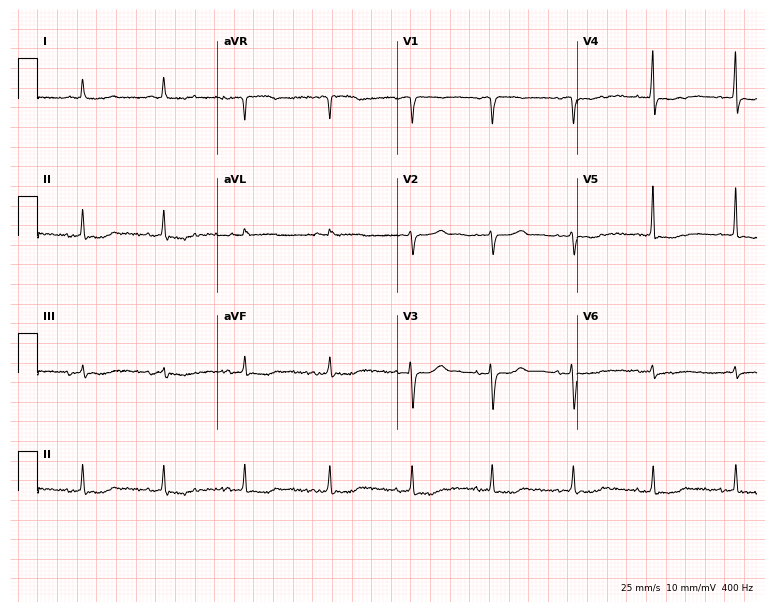
12-lead ECG from an 80-year-old female (7.3-second recording at 400 Hz). No first-degree AV block, right bundle branch block (RBBB), left bundle branch block (LBBB), sinus bradycardia, atrial fibrillation (AF) or sinus tachycardia recorded for this tracing.